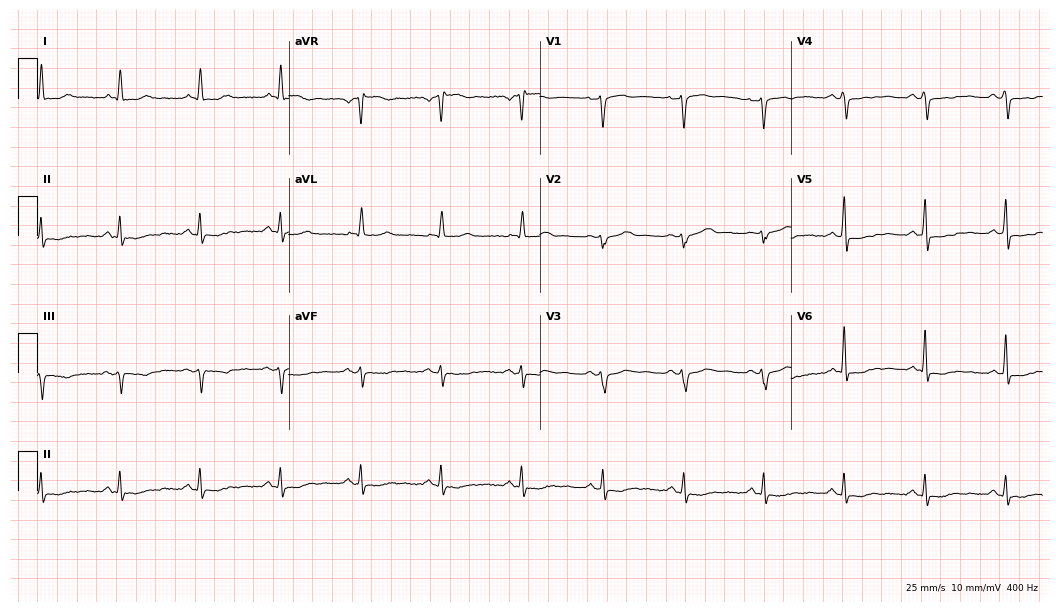
ECG — a female patient, 57 years old. Screened for six findings — first-degree AV block, right bundle branch block, left bundle branch block, sinus bradycardia, atrial fibrillation, sinus tachycardia — none is recorded.